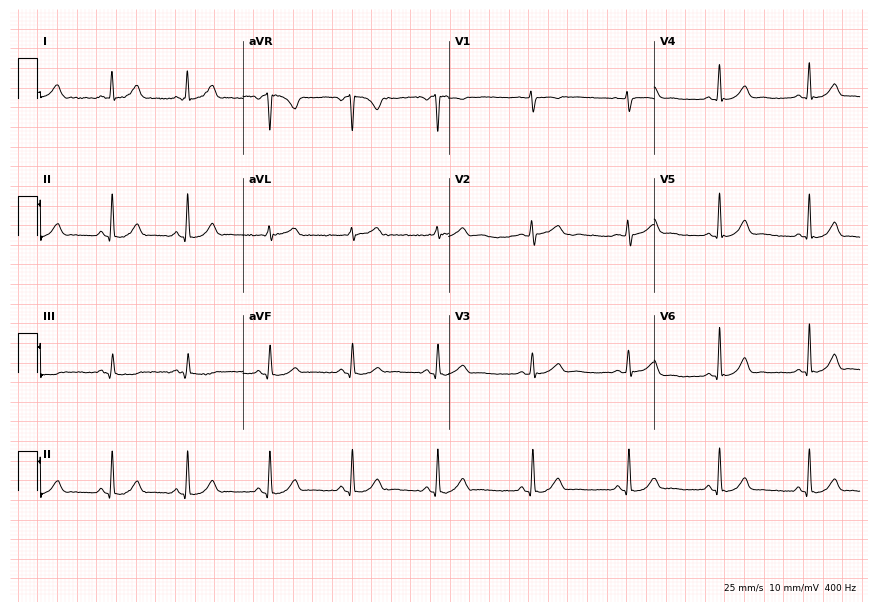
Resting 12-lead electrocardiogram. Patient: a 36-year-old woman. None of these six findings is recorded: first-degree AV block, right bundle branch block, left bundle branch block, sinus bradycardia, atrial fibrillation, sinus tachycardia. Findings outside these six are not listed.